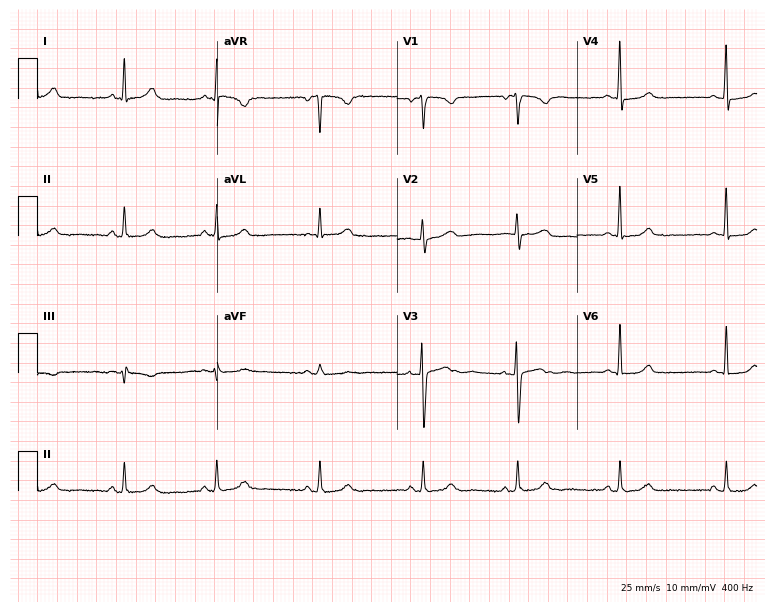
Standard 12-lead ECG recorded from a woman, 44 years old. Read as a normal ECG.